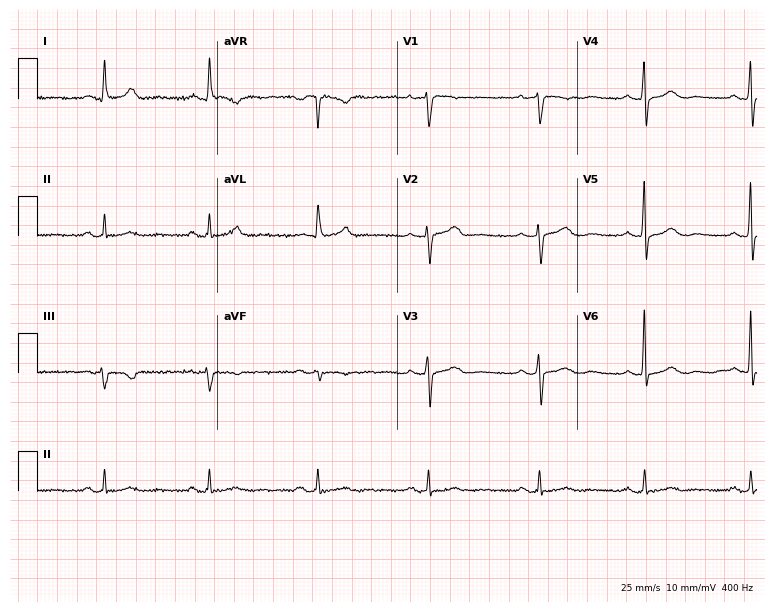
Standard 12-lead ECG recorded from a 69-year-old female patient (7.3-second recording at 400 Hz). None of these six findings is recorded: first-degree AV block, right bundle branch block (RBBB), left bundle branch block (LBBB), sinus bradycardia, atrial fibrillation (AF), sinus tachycardia. Only these six findings were labelled.